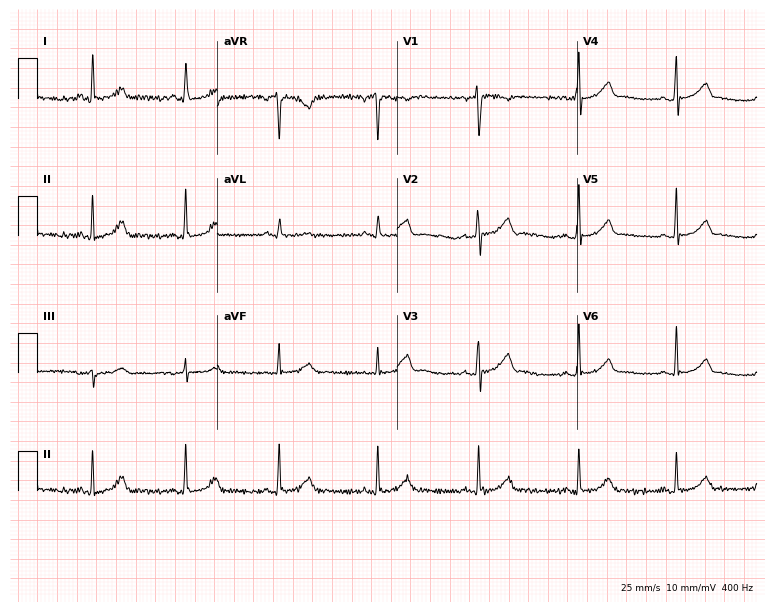
Electrocardiogram (7.3-second recording at 400 Hz), a woman, 36 years old. Overall reading on record: normal ECG.